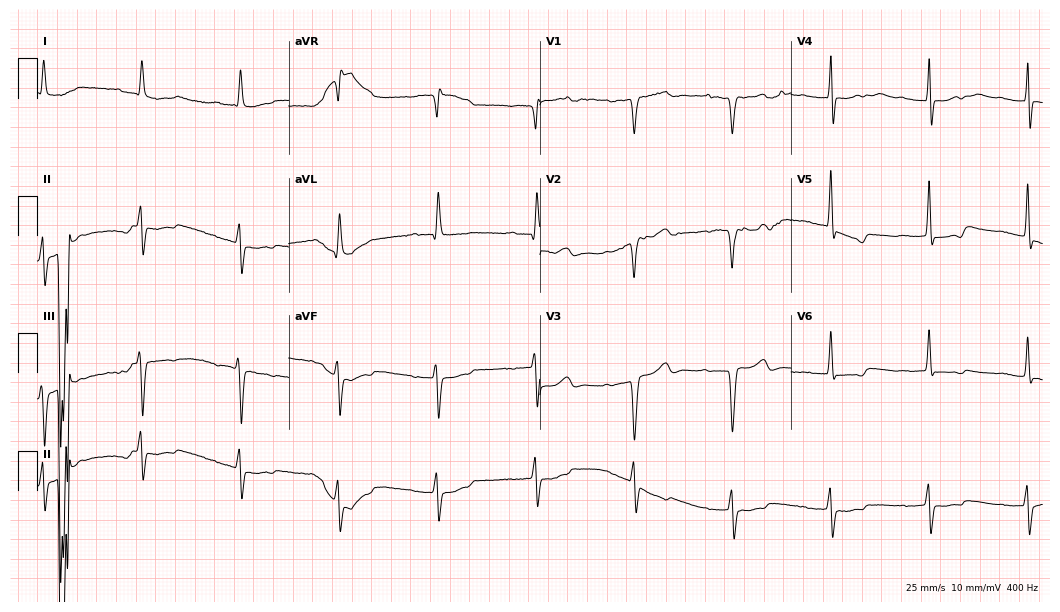
Standard 12-lead ECG recorded from an 81-year-old female. None of these six findings is recorded: first-degree AV block, right bundle branch block, left bundle branch block, sinus bradycardia, atrial fibrillation, sinus tachycardia.